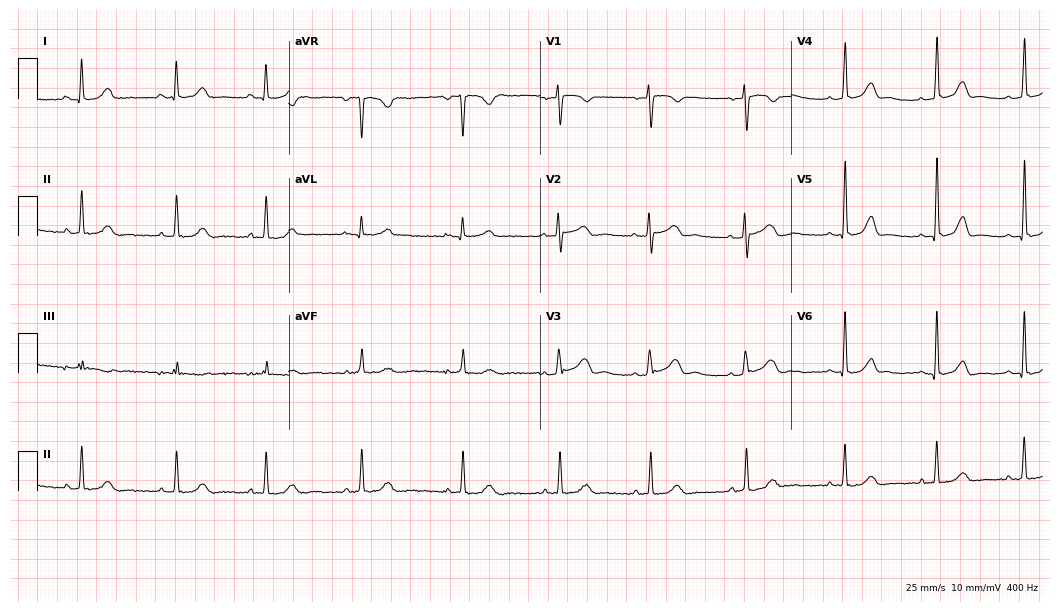
12-lead ECG from a female patient, 38 years old. Recorded interpretation: within normal limits.